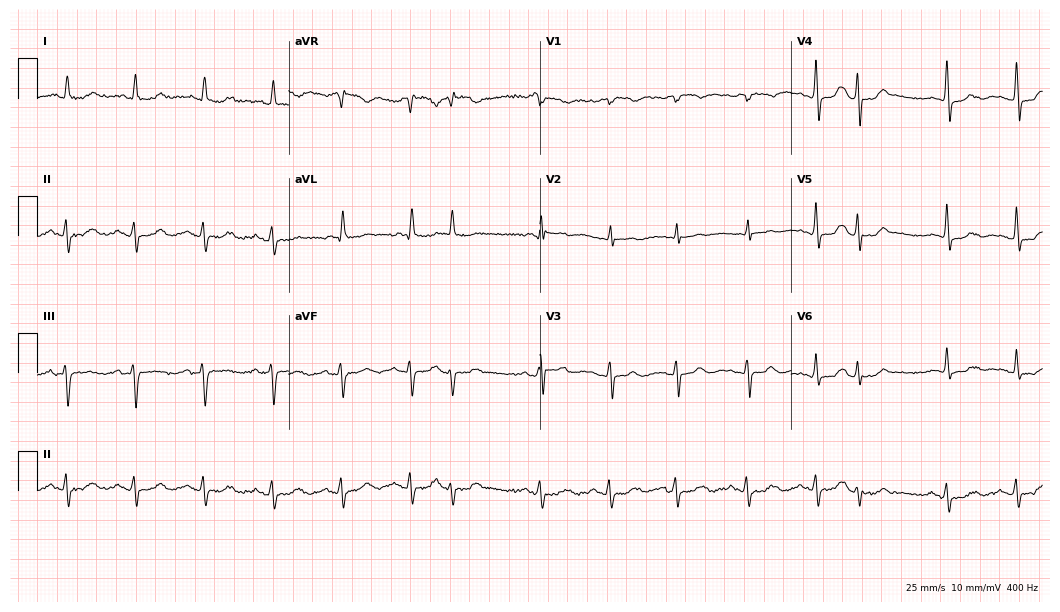
Electrocardiogram (10.2-second recording at 400 Hz), a woman, 72 years old. Overall reading on record: normal ECG.